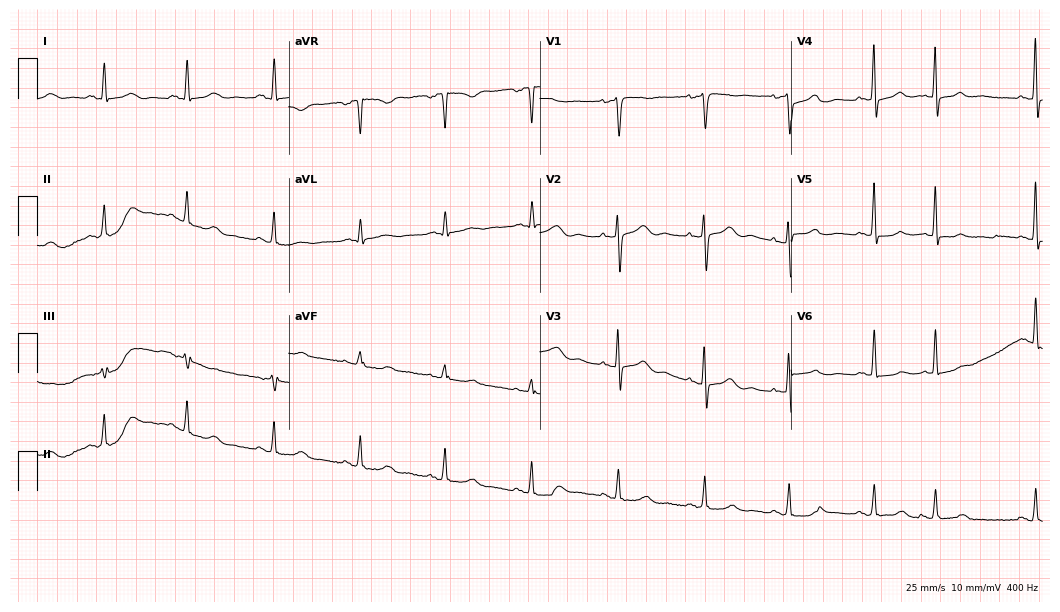
Resting 12-lead electrocardiogram (10.2-second recording at 400 Hz). Patient: a 63-year-old female. Read as a normal ECG.